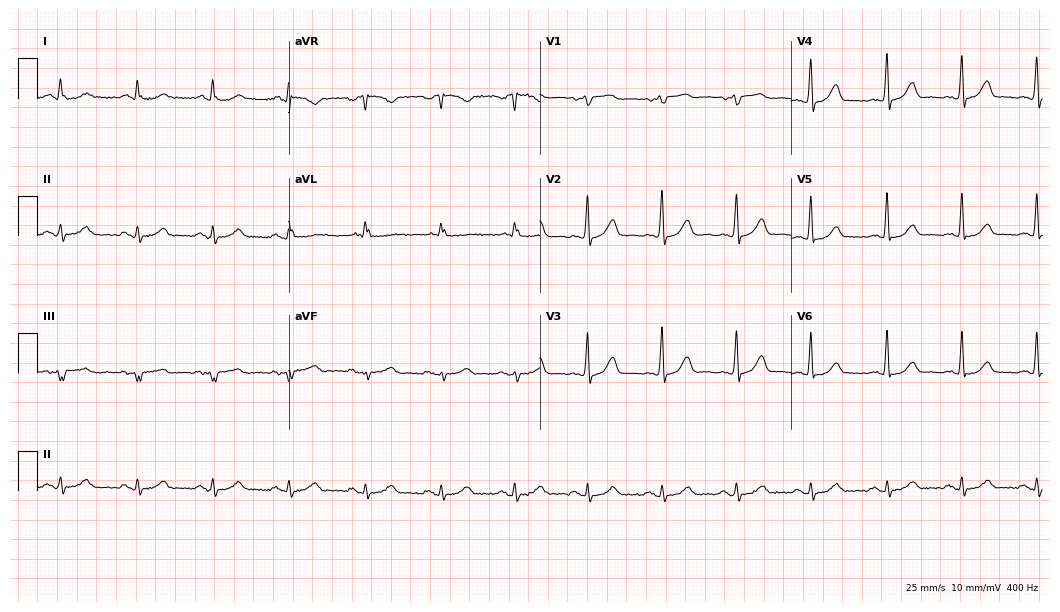
Electrocardiogram (10.2-second recording at 400 Hz), a male patient, 61 years old. Of the six screened findings (first-degree AV block, right bundle branch block, left bundle branch block, sinus bradycardia, atrial fibrillation, sinus tachycardia), none is recorded. Findings outside these six are not listed.